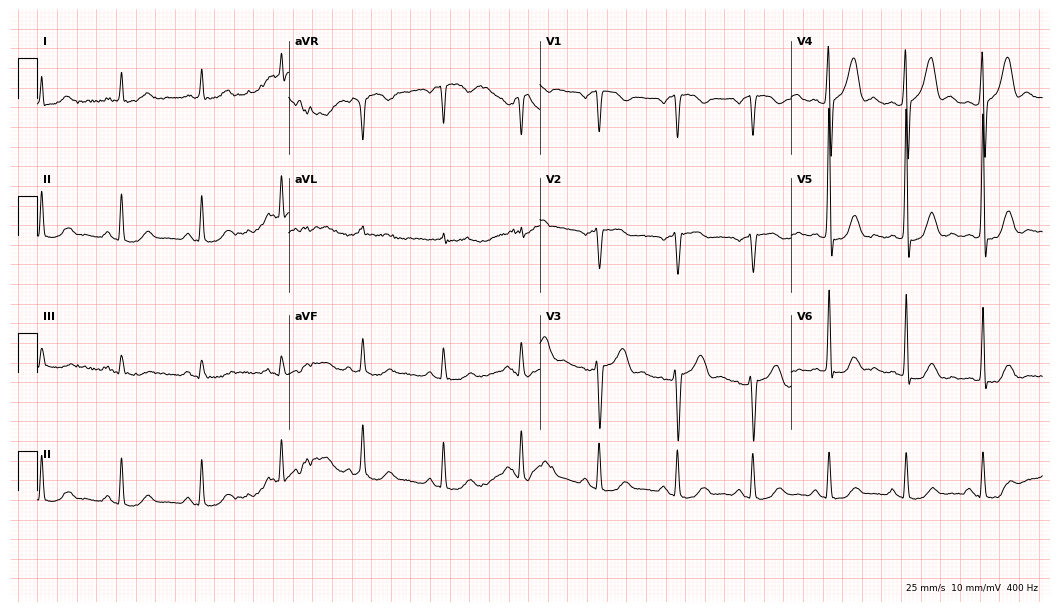
12-lead ECG from a 56-year-old male. Screened for six findings — first-degree AV block, right bundle branch block (RBBB), left bundle branch block (LBBB), sinus bradycardia, atrial fibrillation (AF), sinus tachycardia — none is recorded.